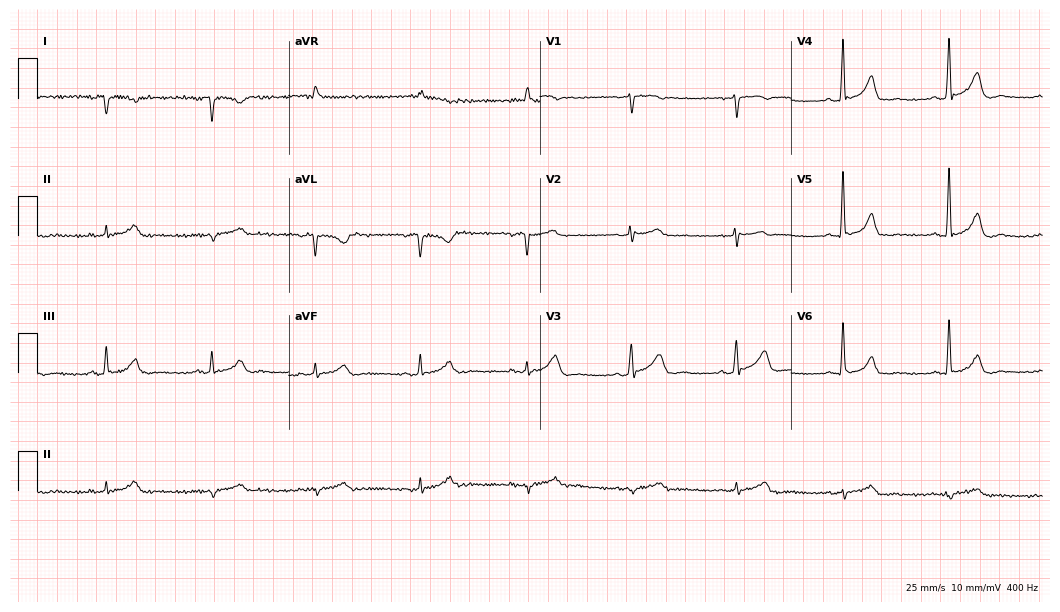
ECG (10.2-second recording at 400 Hz) — a 65-year-old male patient. Screened for six findings — first-degree AV block, right bundle branch block (RBBB), left bundle branch block (LBBB), sinus bradycardia, atrial fibrillation (AF), sinus tachycardia — none is recorded. Other findings, if any, are not listed.